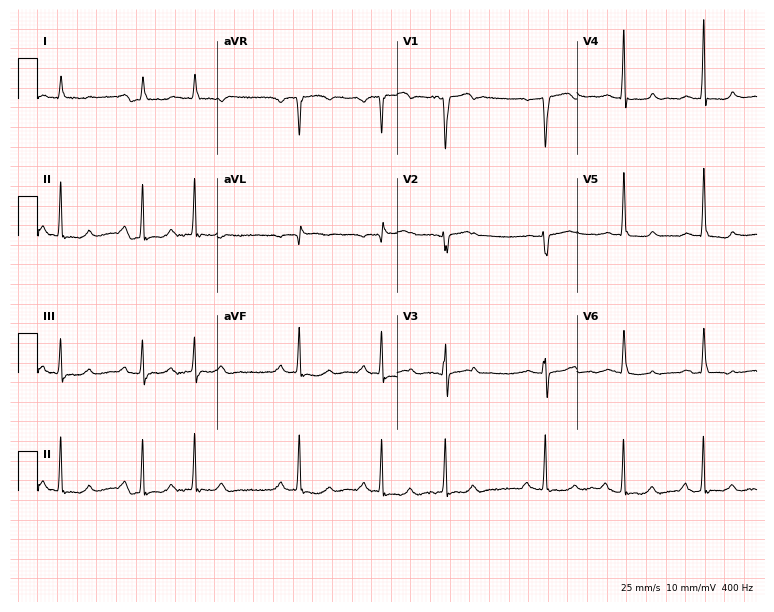
ECG — a 64-year-old man. Screened for six findings — first-degree AV block, right bundle branch block, left bundle branch block, sinus bradycardia, atrial fibrillation, sinus tachycardia — none is recorded. Findings outside these six are not listed.